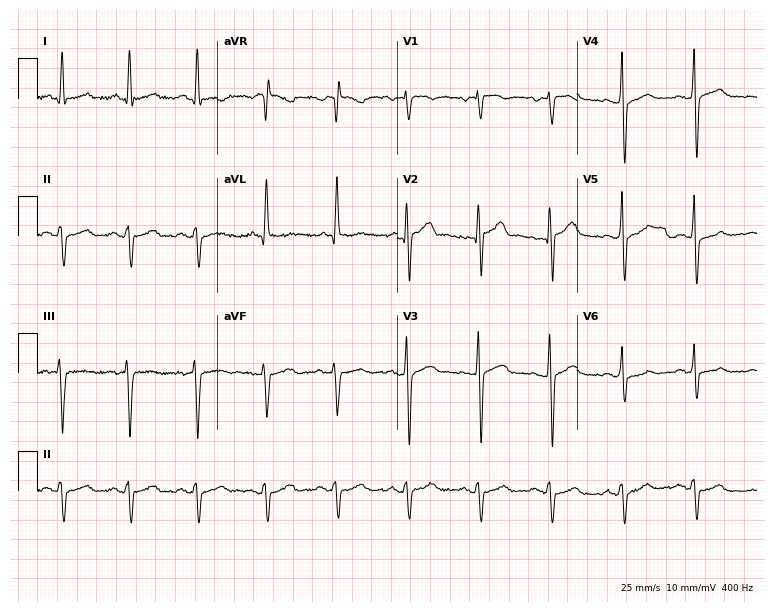
Electrocardiogram, a 57-year-old male. Of the six screened findings (first-degree AV block, right bundle branch block (RBBB), left bundle branch block (LBBB), sinus bradycardia, atrial fibrillation (AF), sinus tachycardia), none is recorded. Only these six findings were labelled.